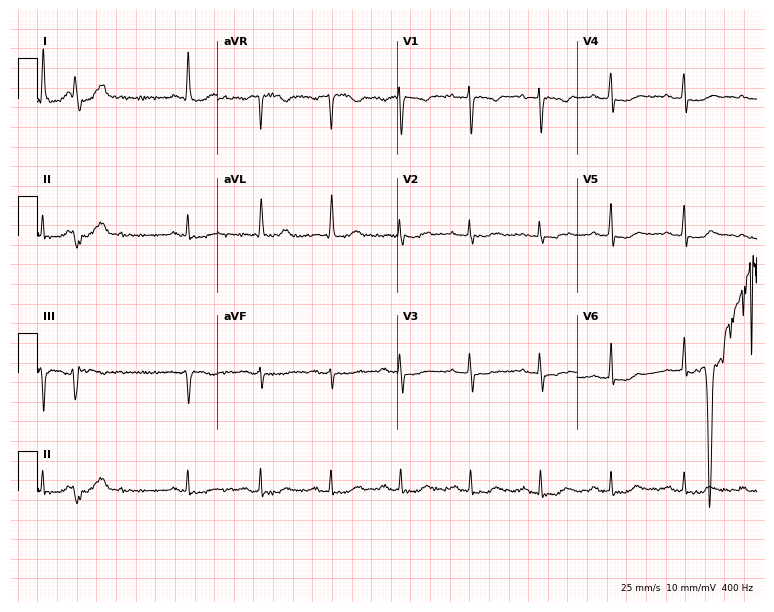
12-lead ECG from a 58-year-old female. Screened for six findings — first-degree AV block, right bundle branch block, left bundle branch block, sinus bradycardia, atrial fibrillation, sinus tachycardia — none is recorded. Only these six findings were labelled.